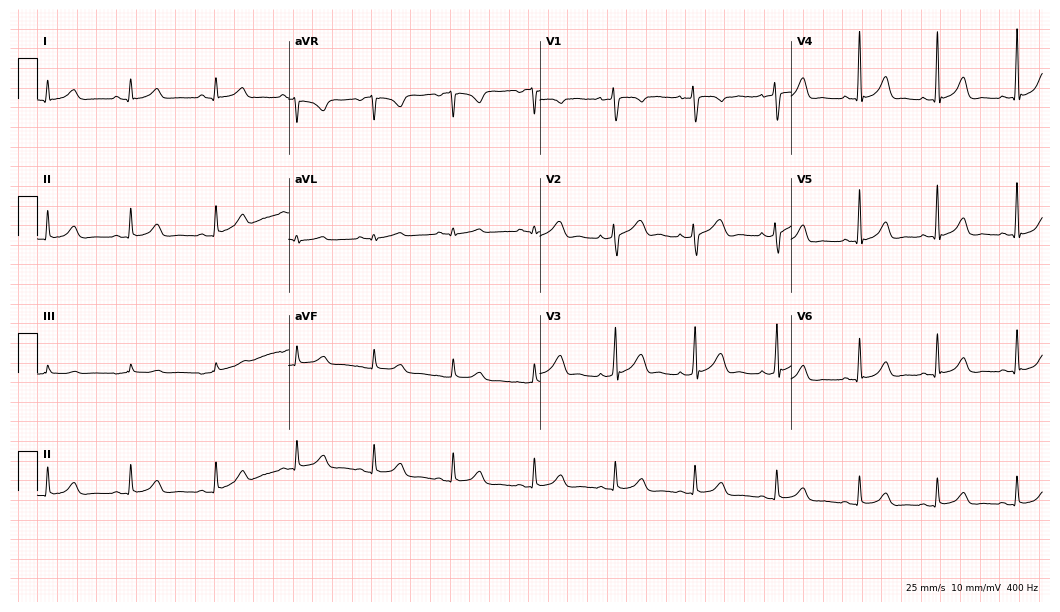
Standard 12-lead ECG recorded from a female, 32 years old. Read as a normal ECG.